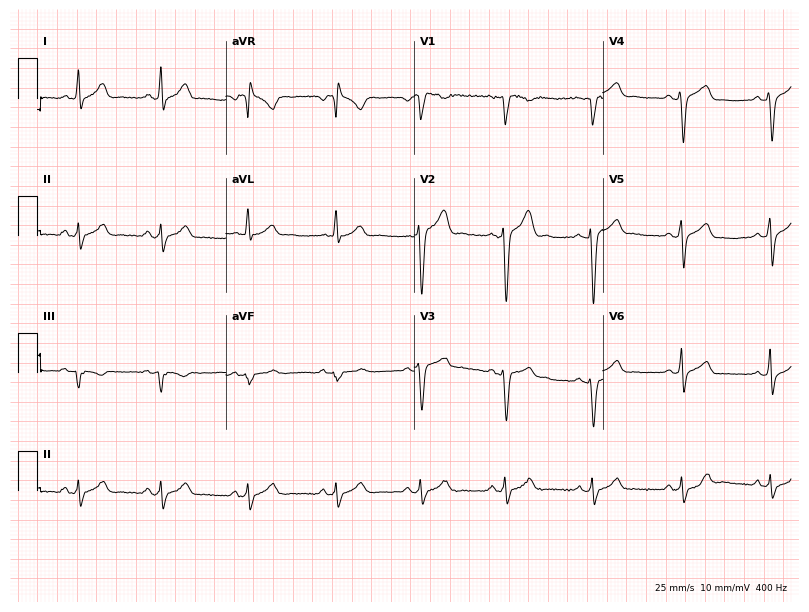
Standard 12-lead ECG recorded from a 27-year-old male (7.7-second recording at 400 Hz). None of these six findings is recorded: first-degree AV block, right bundle branch block, left bundle branch block, sinus bradycardia, atrial fibrillation, sinus tachycardia.